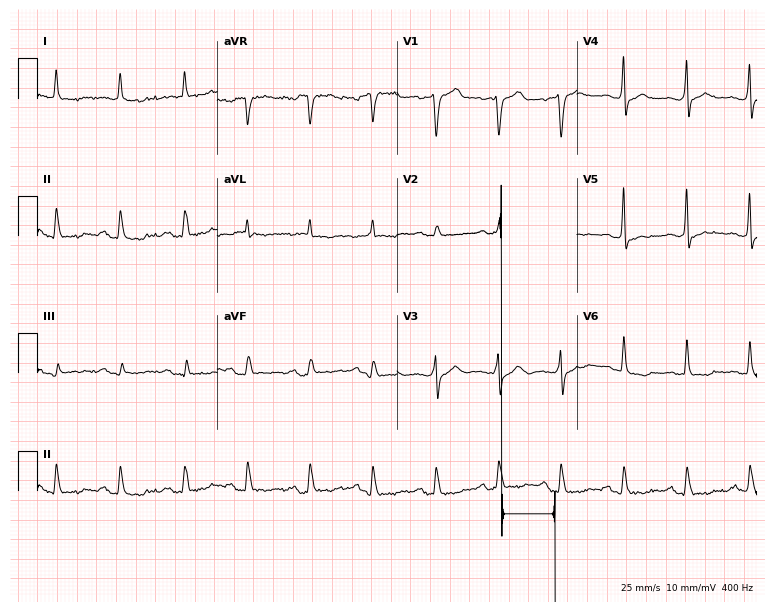
Resting 12-lead electrocardiogram (7.3-second recording at 400 Hz). Patient: a 77-year-old male. None of these six findings is recorded: first-degree AV block, right bundle branch block, left bundle branch block, sinus bradycardia, atrial fibrillation, sinus tachycardia. Only these six findings were labelled.